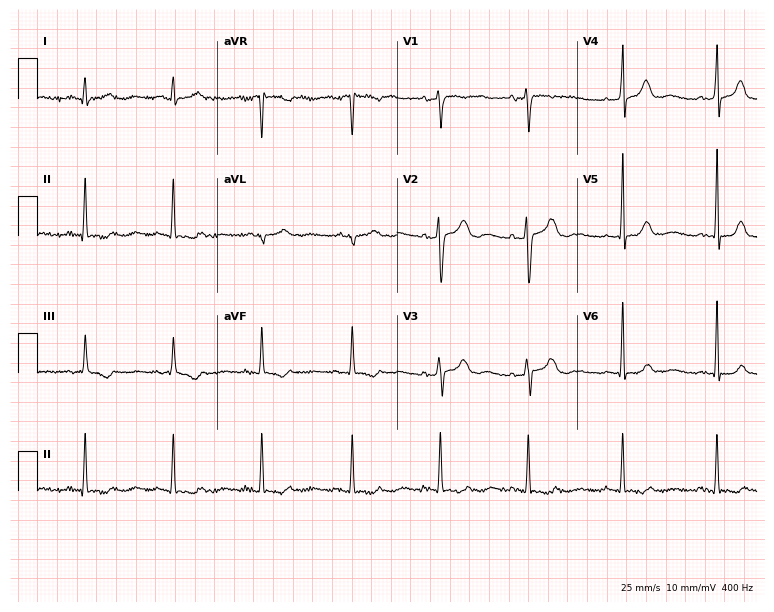
Resting 12-lead electrocardiogram (7.3-second recording at 400 Hz). Patient: a woman, 26 years old. None of these six findings is recorded: first-degree AV block, right bundle branch block, left bundle branch block, sinus bradycardia, atrial fibrillation, sinus tachycardia.